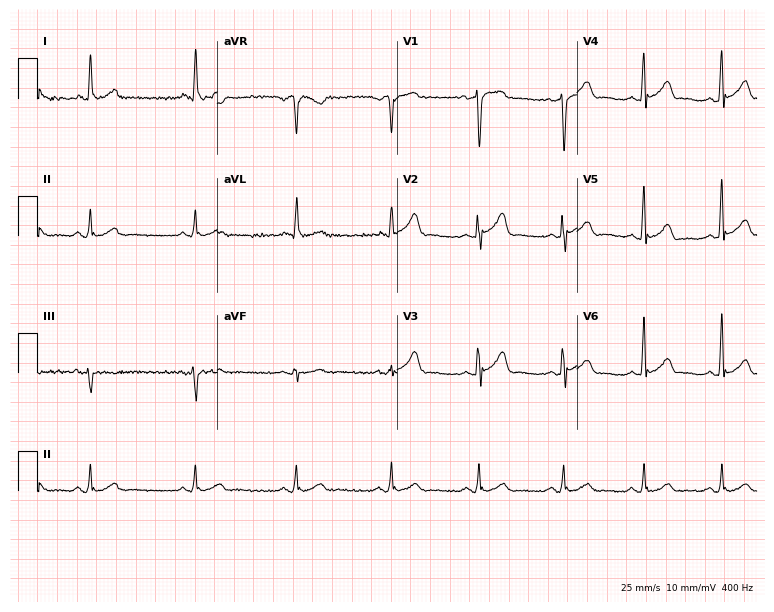
ECG — a 42-year-old male. Screened for six findings — first-degree AV block, right bundle branch block, left bundle branch block, sinus bradycardia, atrial fibrillation, sinus tachycardia — none is recorded.